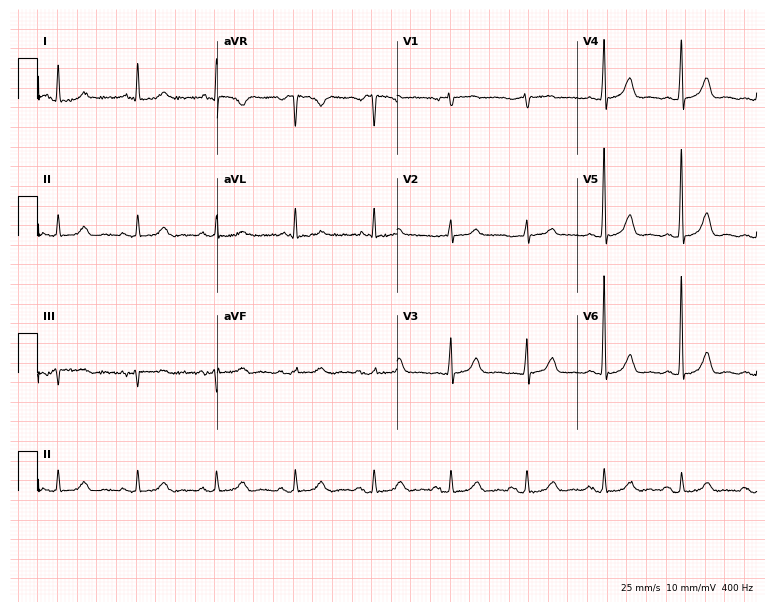
Resting 12-lead electrocardiogram. Patient: a 76-year-old female. Read as a normal ECG.